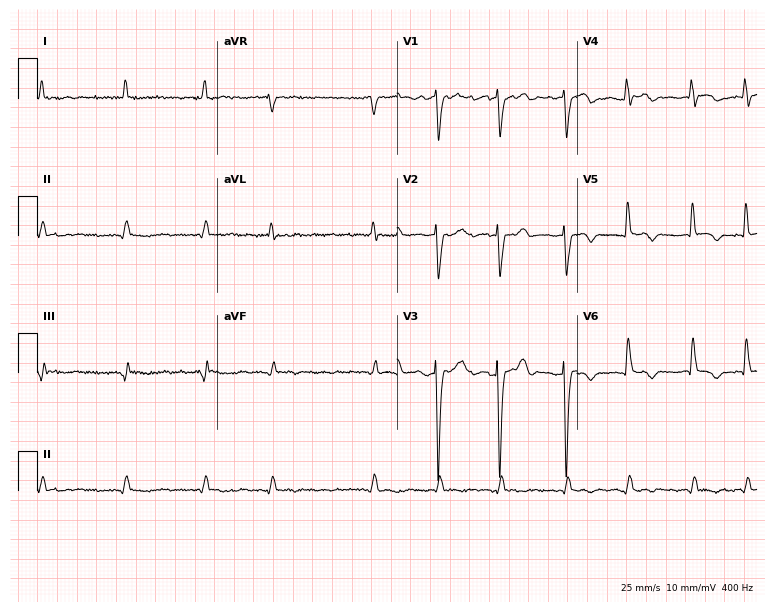
Standard 12-lead ECG recorded from an 83-year-old woman. The tracing shows atrial fibrillation.